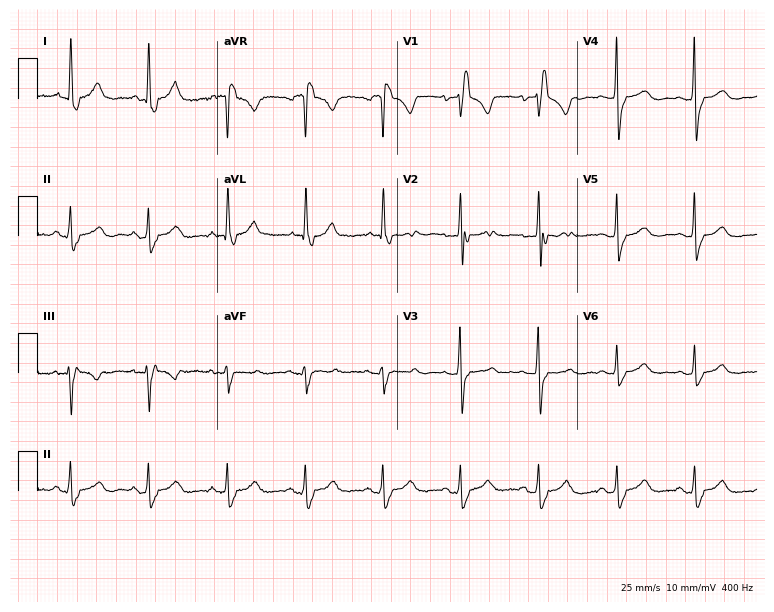
Electrocardiogram (7.3-second recording at 400 Hz), an 84-year-old female. Interpretation includes right bundle branch block (RBBB).